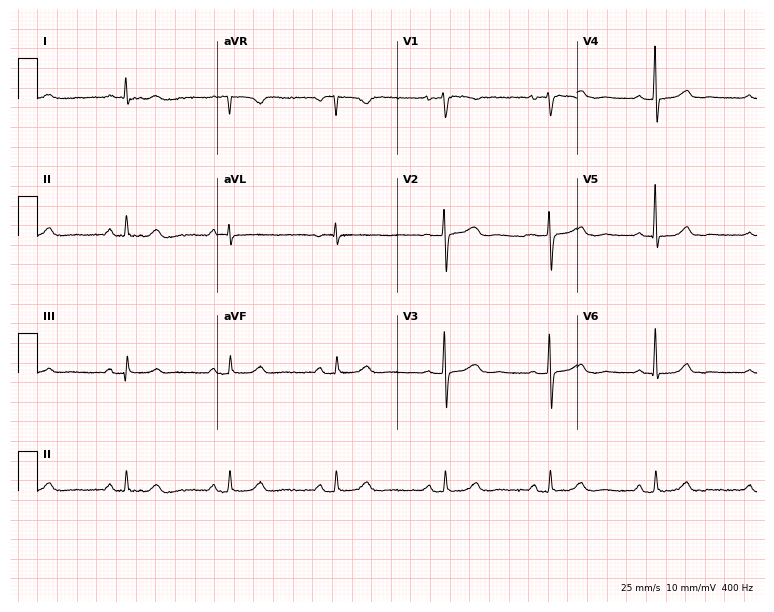
12-lead ECG (7.3-second recording at 400 Hz) from a female, 50 years old. Screened for six findings — first-degree AV block, right bundle branch block, left bundle branch block, sinus bradycardia, atrial fibrillation, sinus tachycardia — none is recorded.